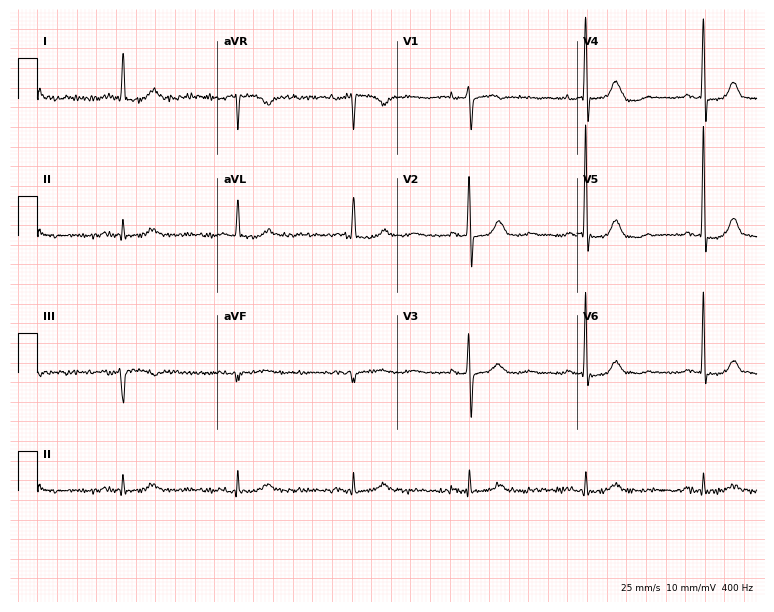
12-lead ECG from a female, 83 years old. Screened for six findings — first-degree AV block, right bundle branch block, left bundle branch block, sinus bradycardia, atrial fibrillation, sinus tachycardia — none is recorded.